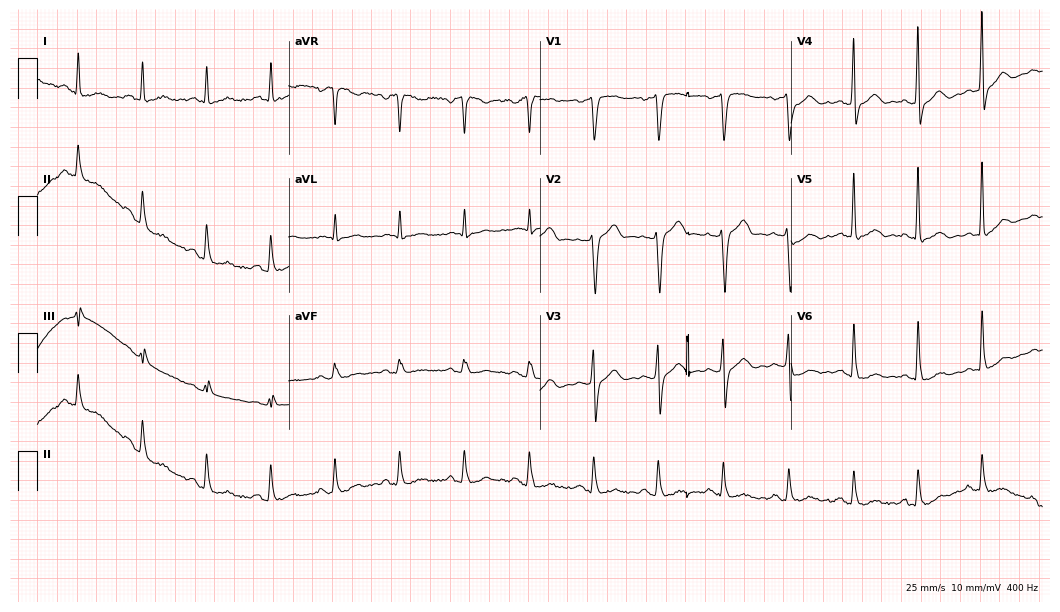
Resting 12-lead electrocardiogram. Patient: a male, 48 years old. Read as a normal ECG.